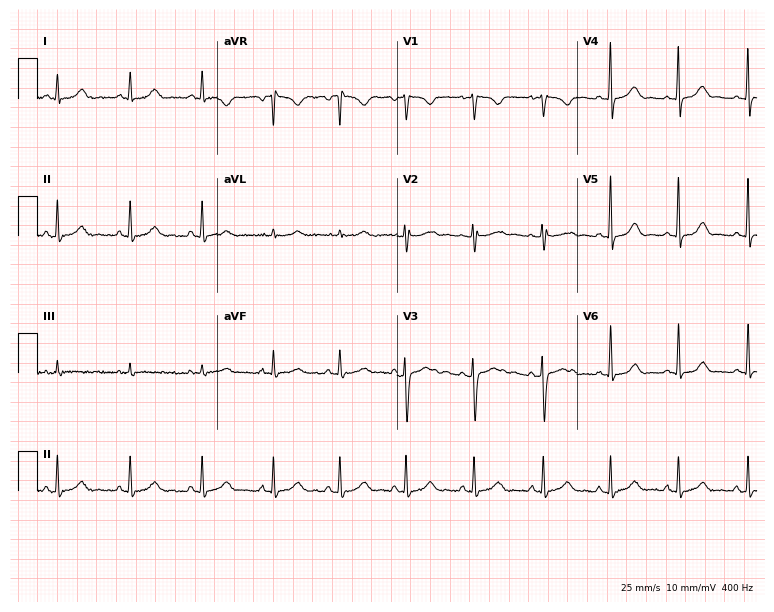
12-lead ECG from a female patient, 18 years old (7.3-second recording at 400 Hz). Recorded interpretation: within normal limits.